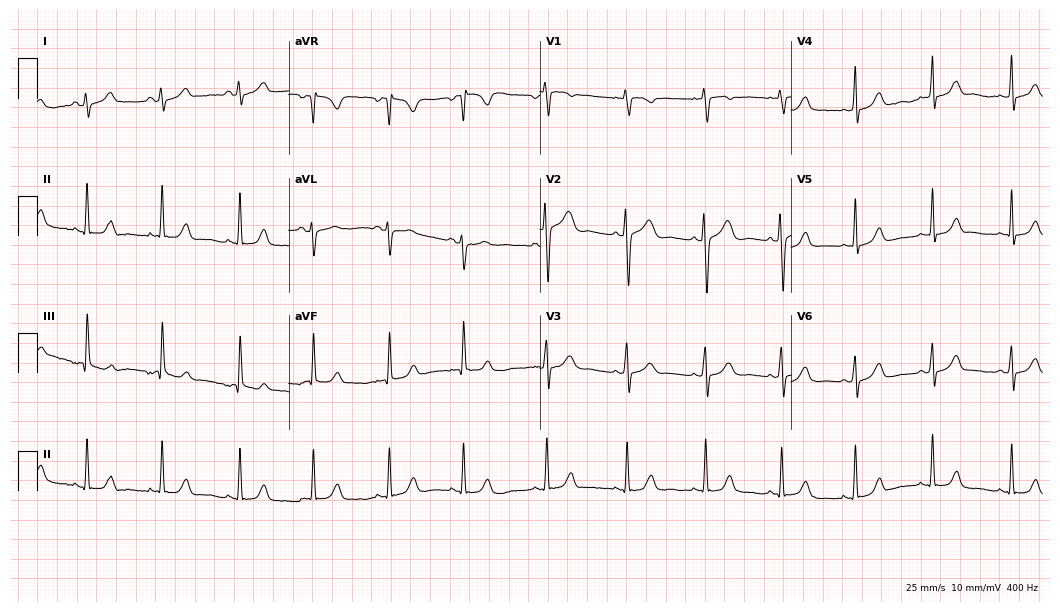
12-lead ECG (10.2-second recording at 400 Hz) from a 17-year-old female. Screened for six findings — first-degree AV block, right bundle branch block, left bundle branch block, sinus bradycardia, atrial fibrillation, sinus tachycardia — none is recorded. Only these six findings were labelled.